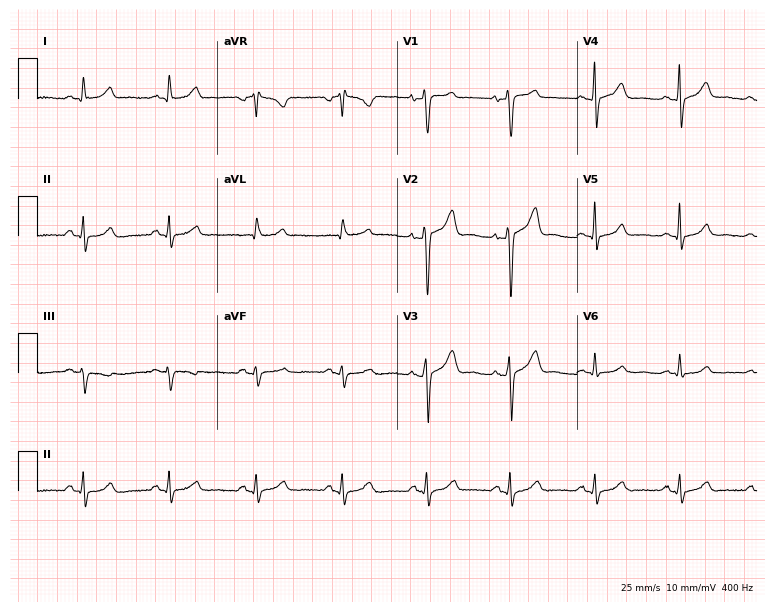
Resting 12-lead electrocardiogram. Patient: a male, 48 years old. Read as a normal ECG.